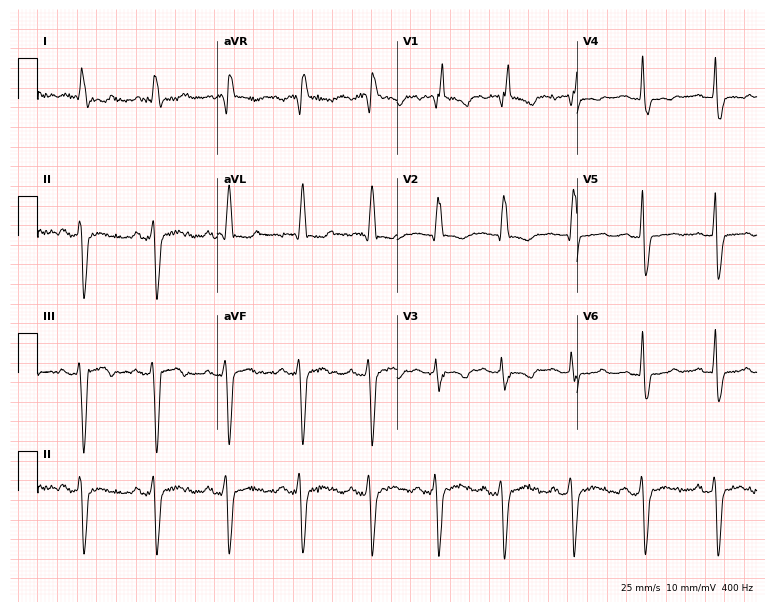
12-lead ECG from a female patient, 70 years old. Screened for six findings — first-degree AV block, right bundle branch block (RBBB), left bundle branch block (LBBB), sinus bradycardia, atrial fibrillation (AF), sinus tachycardia — none is recorded. Findings outside these six are not listed.